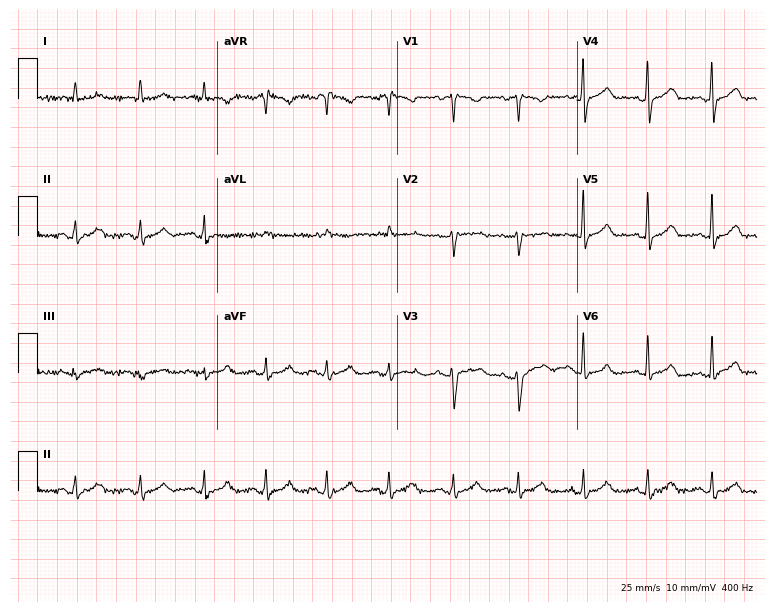
12-lead ECG from a female patient, 39 years old. Labelled as a normal ECG.